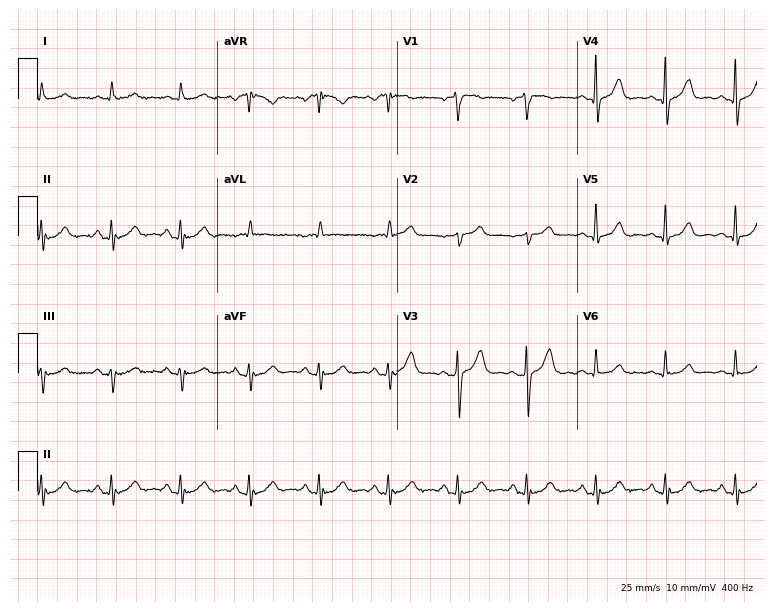
Resting 12-lead electrocardiogram. Patient: a 72-year-old male. Read as a normal ECG.